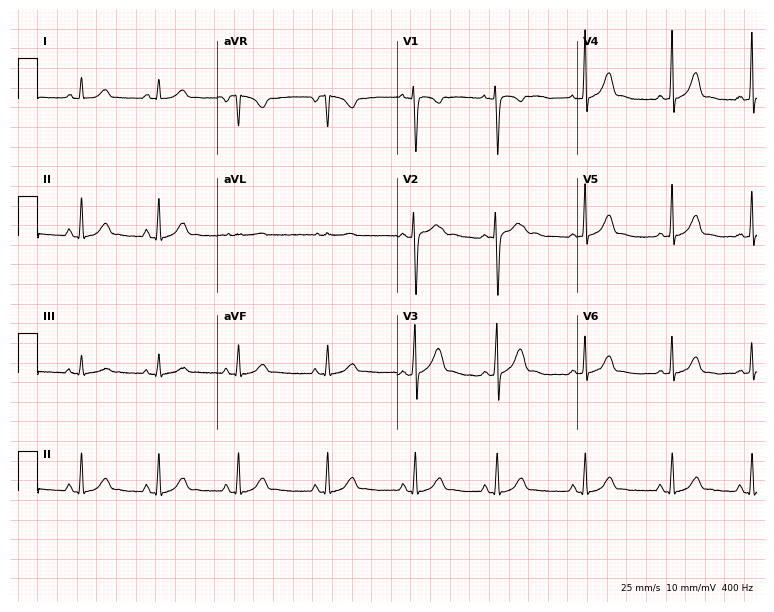
ECG (7.3-second recording at 400 Hz) — a 19-year-old woman. Labelled as a normal ECG.